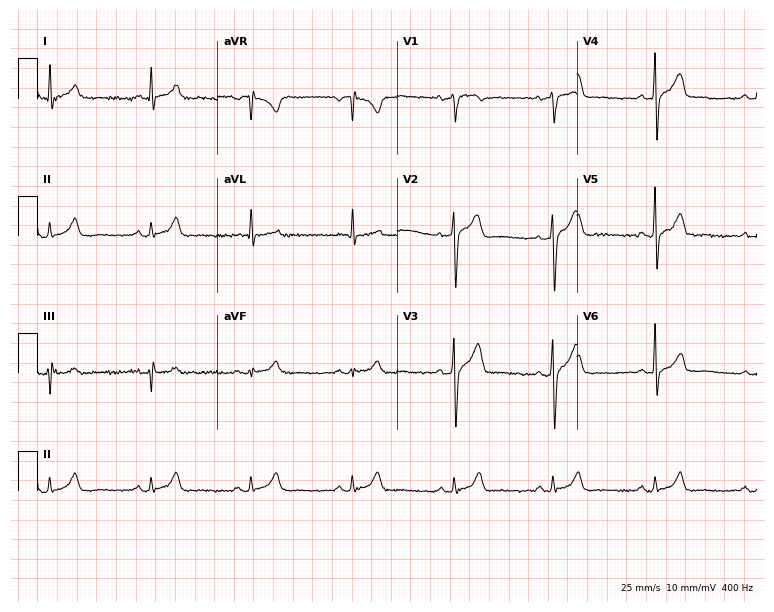
Resting 12-lead electrocardiogram (7.3-second recording at 400 Hz). Patient: a male, 50 years old. Read as a normal ECG.